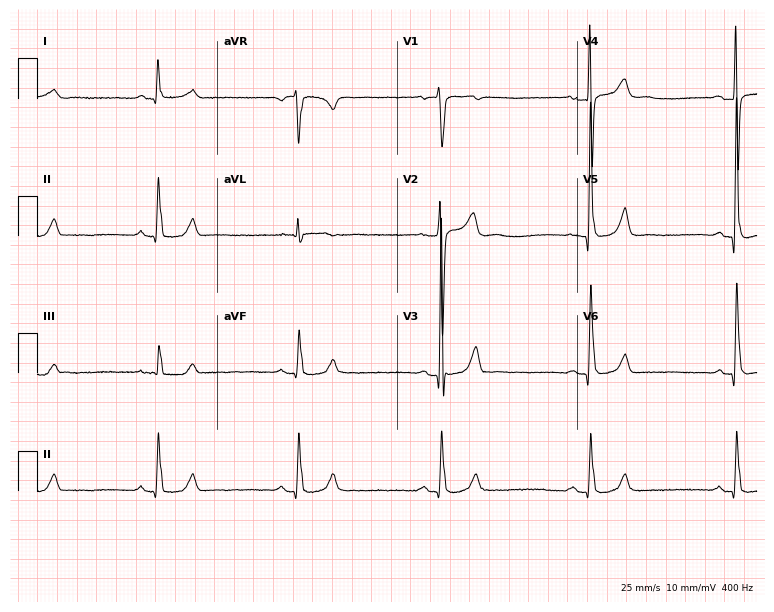
Electrocardiogram, a woman, 62 years old. Of the six screened findings (first-degree AV block, right bundle branch block, left bundle branch block, sinus bradycardia, atrial fibrillation, sinus tachycardia), none is recorded.